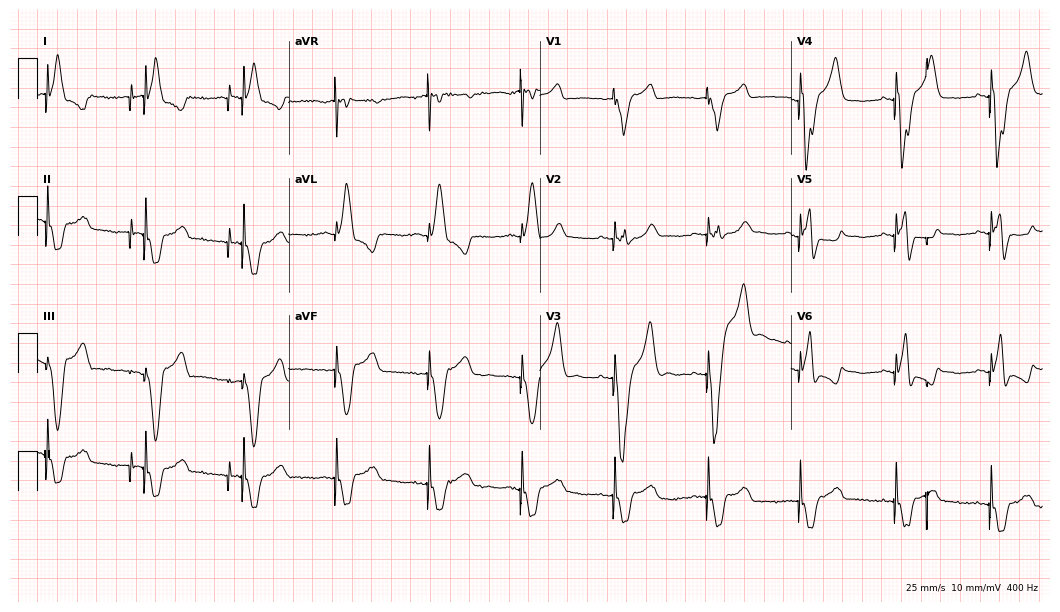
Electrocardiogram (10.2-second recording at 400 Hz), a female patient, 77 years old. Of the six screened findings (first-degree AV block, right bundle branch block, left bundle branch block, sinus bradycardia, atrial fibrillation, sinus tachycardia), none is recorded.